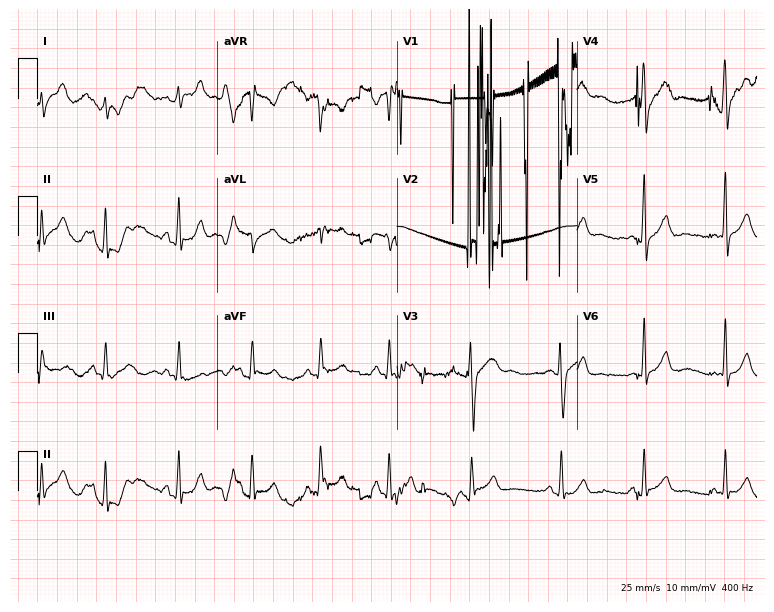
Standard 12-lead ECG recorded from a male patient, 18 years old. Read as a normal ECG.